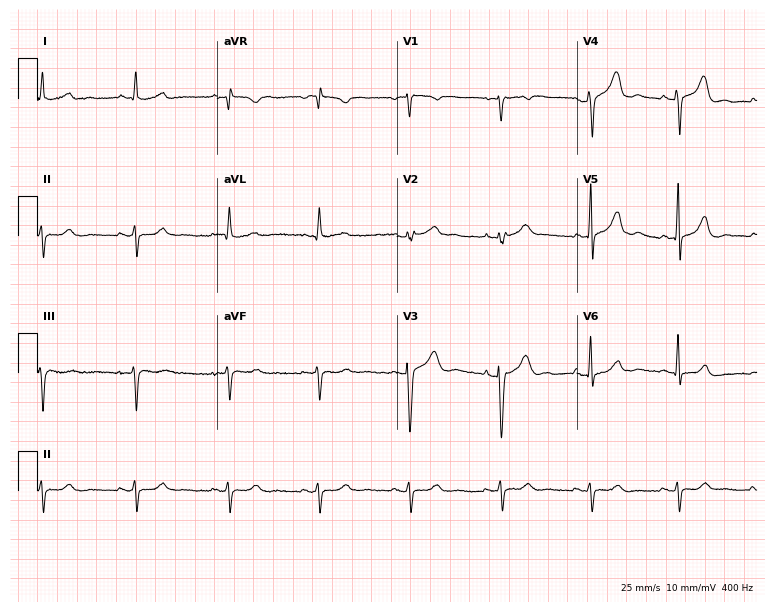
Electrocardiogram, a female patient, 62 years old. Of the six screened findings (first-degree AV block, right bundle branch block, left bundle branch block, sinus bradycardia, atrial fibrillation, sinus tachycardia), none is recorded. Only these six findings were labelled.